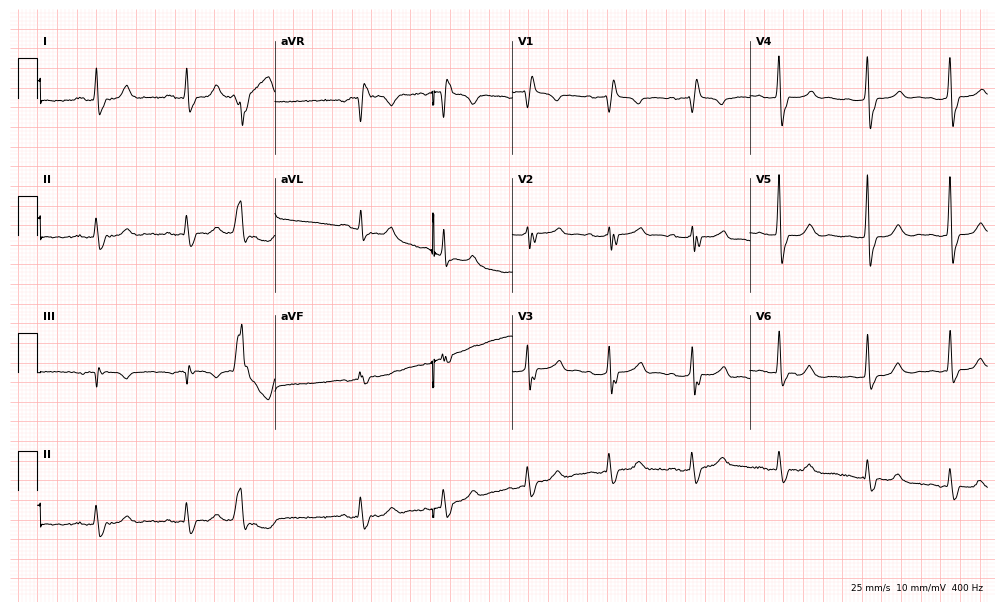
Resting 12-lead electrocardiogram. Patient: a 79-year-old woman. The tracing shows right bundle branch block.